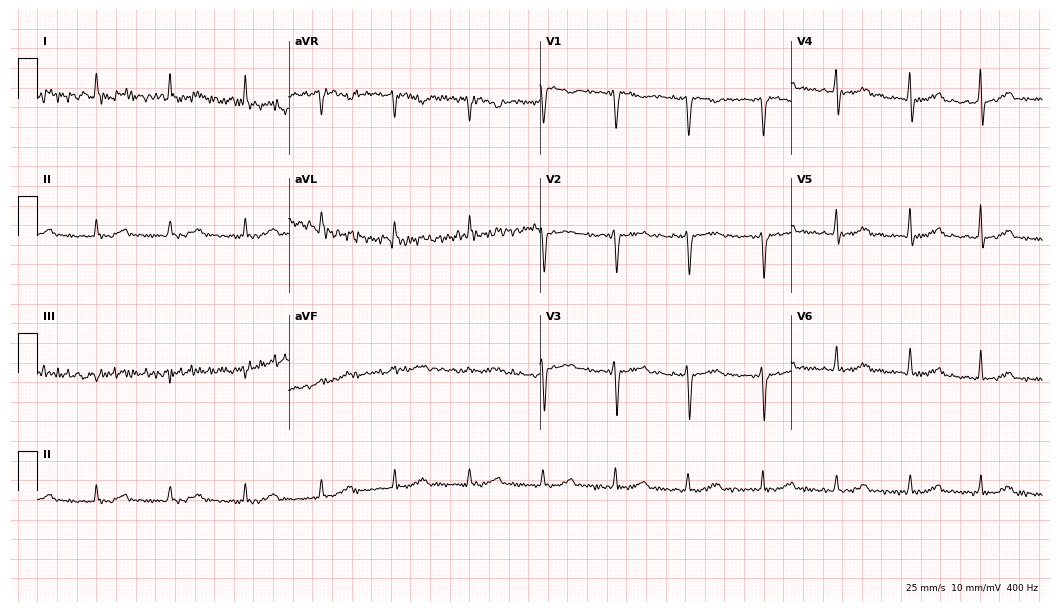
12-lead ECG from a 43-year-old woman. No first-degree AV block, right bundle branch block, left bundle branch block, sinus bradycardia, atrial fibrillation or sinus tachycardia recorded for this tracing.